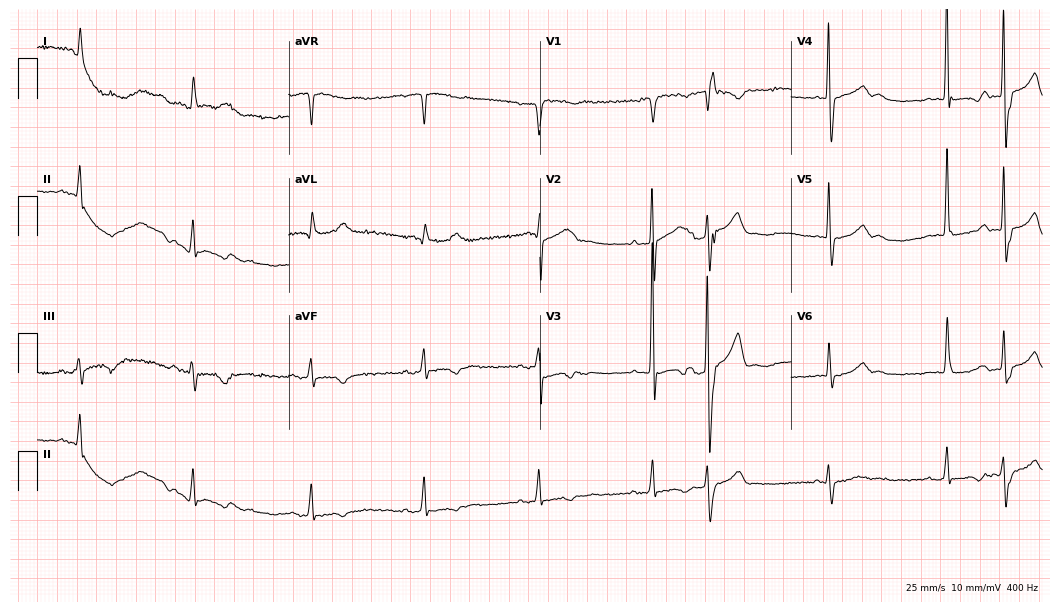
12-lead ECG (10.2-second recording at 400 Hz) from a 75-year-old male. Screened for six findings — first-degree AV block, right bundle branch block, left bundle branch block, sinus bradycardia, atrial fibrillation, sinus tachycardia — none is recorded. Findings outside these six are not listed.